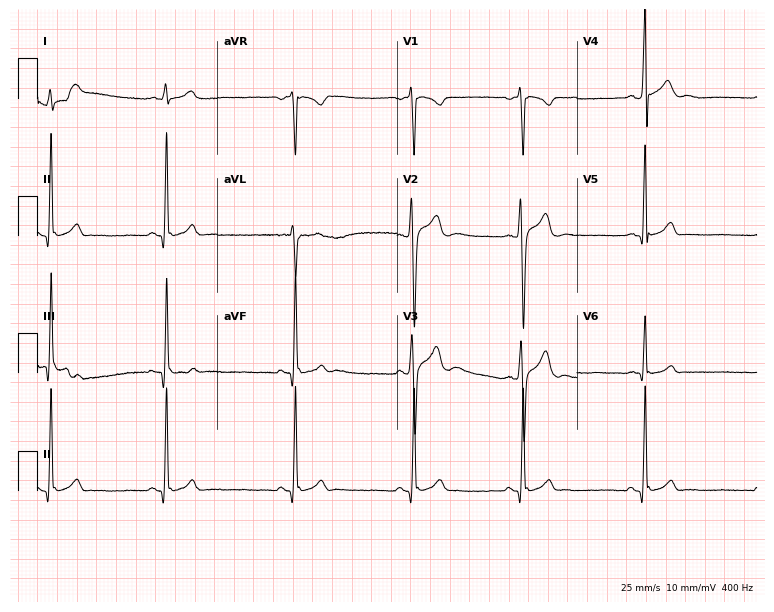
12-lead ECG from a man, 20 years old (7.3-second recording at 400 Hz). Shows sinus bradycardia (a sinus rate of 50 beats per minute or less).